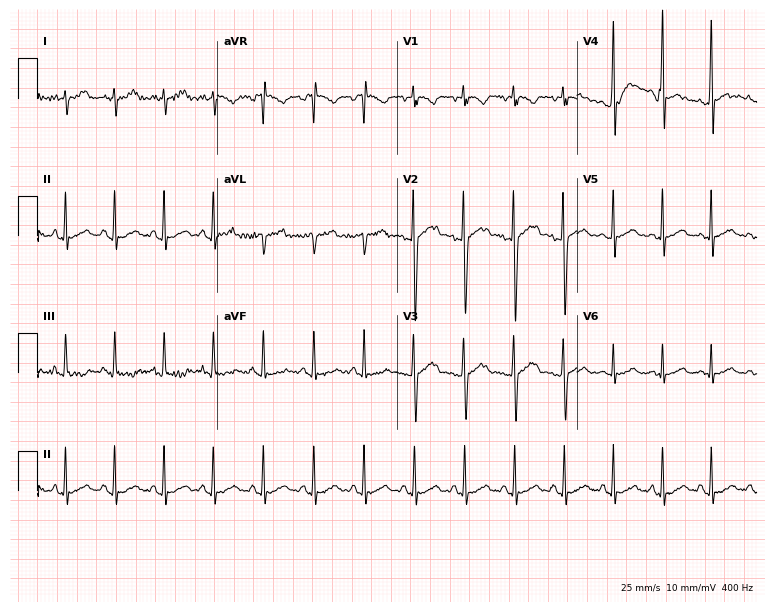
12-lead ECG (7.3-second recording at 400 Hz) from a 17-year-old man. Screened for six findings — first-degree AV block, right bundle branch block, left bundle branch block, sinus bradycardia, atrial fibrillation, sinus tachycardia — none is recorded. Findings outside these six are not listed.